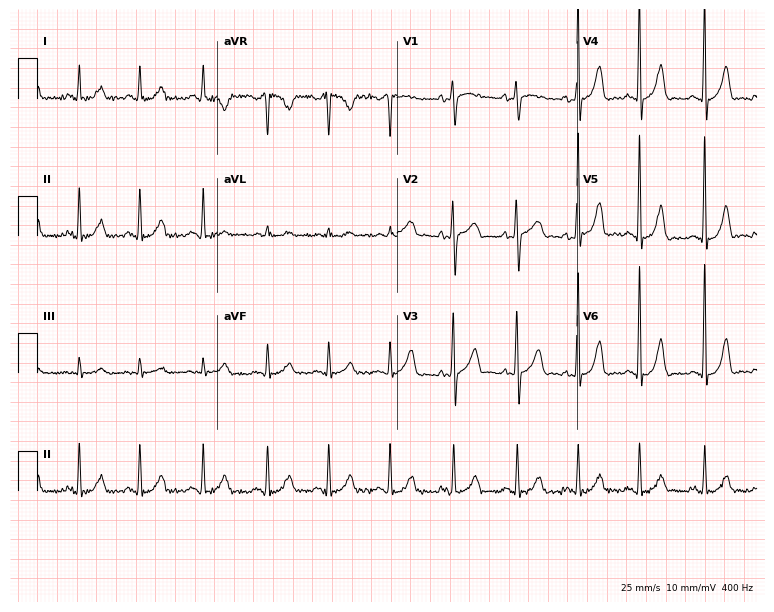
ECG — a 48-year-old female patient. Labelled as a normal ECG.